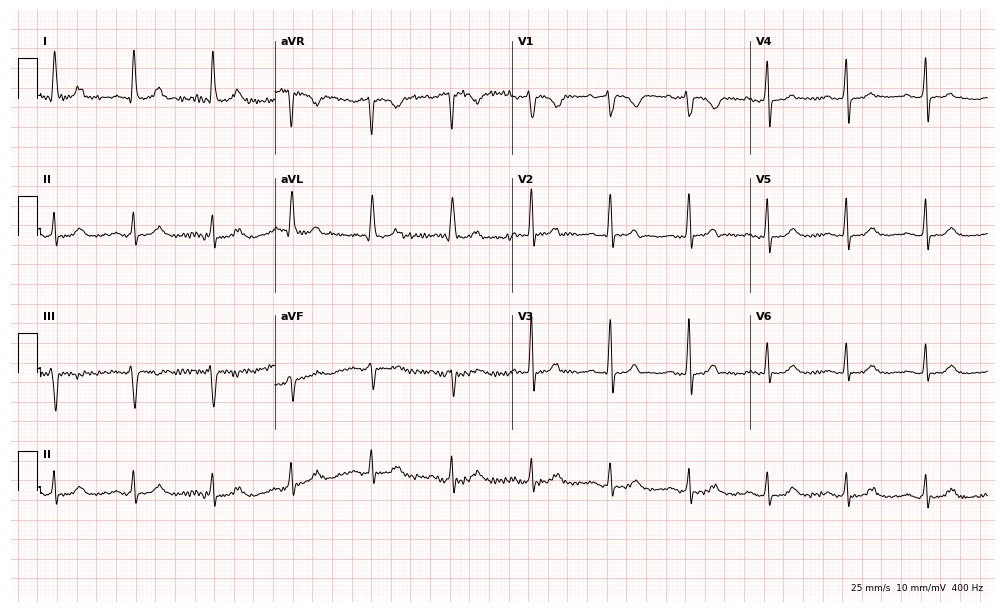
12-lead ECG from a female patient, 75 years old. No first-degree AV block, right bundle branch block (RBBB), left bundle branch block (LBBB), sinus bradycardia, atrial fibrillation (AF) or sinus tachycardia recorded for this tracing. Only these six findings were labelled.